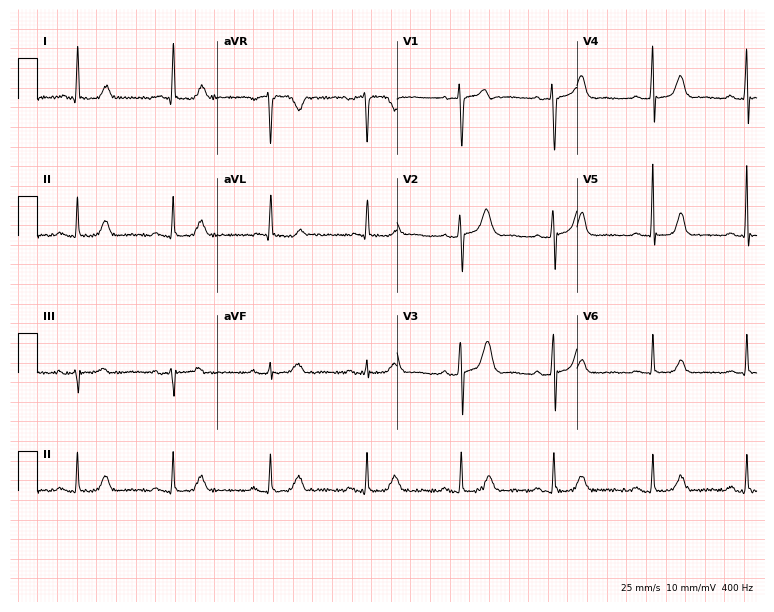
Electrocardiogram, a 75-year-old female. Of the six screened findings (first-degree AV block, right bundle branch block (RBBB), left bundle branch block (LBBB), sinus bradycardia, atrial fibrillation (AF), sinus tachycardia), none is recorded. Findings outside these six are not listed.